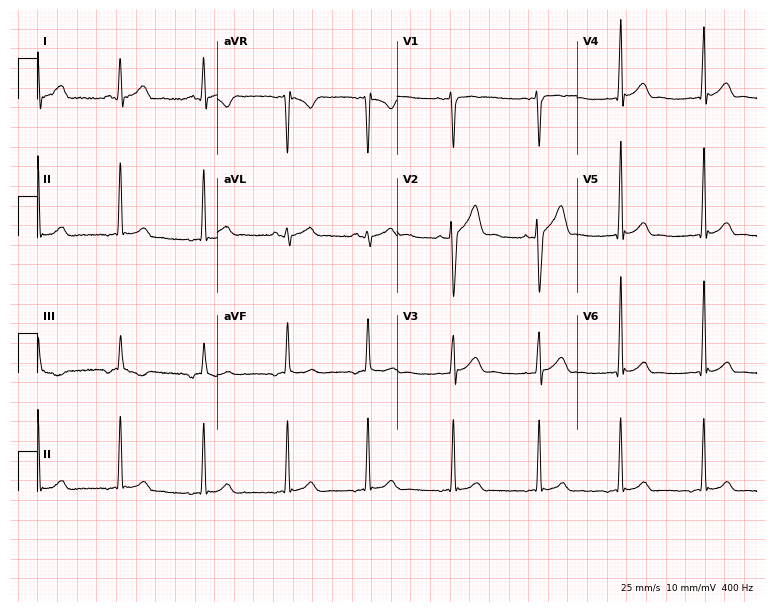
Electrocardiogram, a 23-year-old male patient. Overall reading on record: normal ECG.